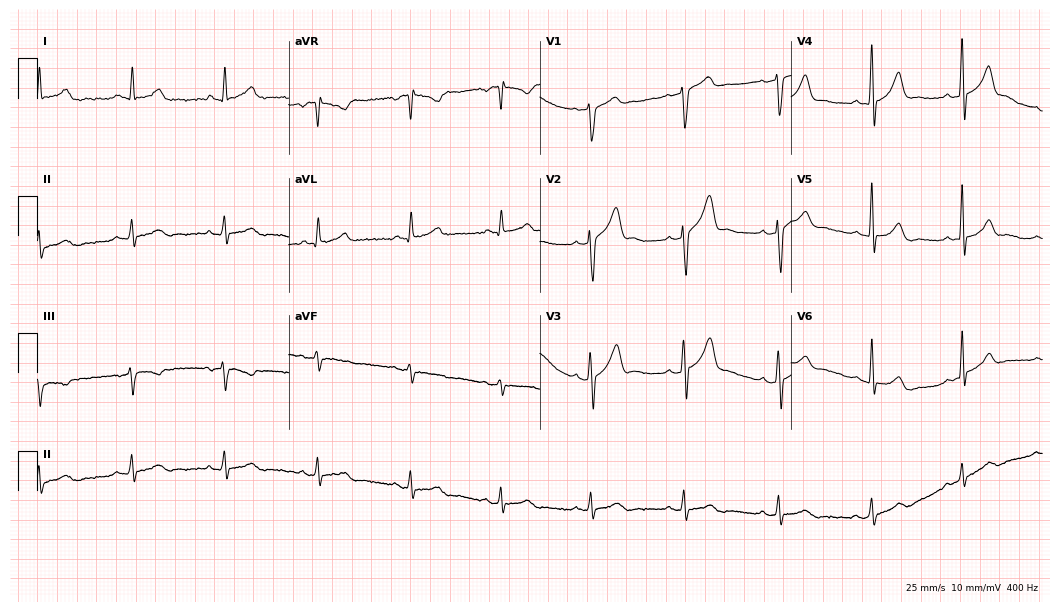
ECG — a man, 40 years old. Labelled as a normal ECG.